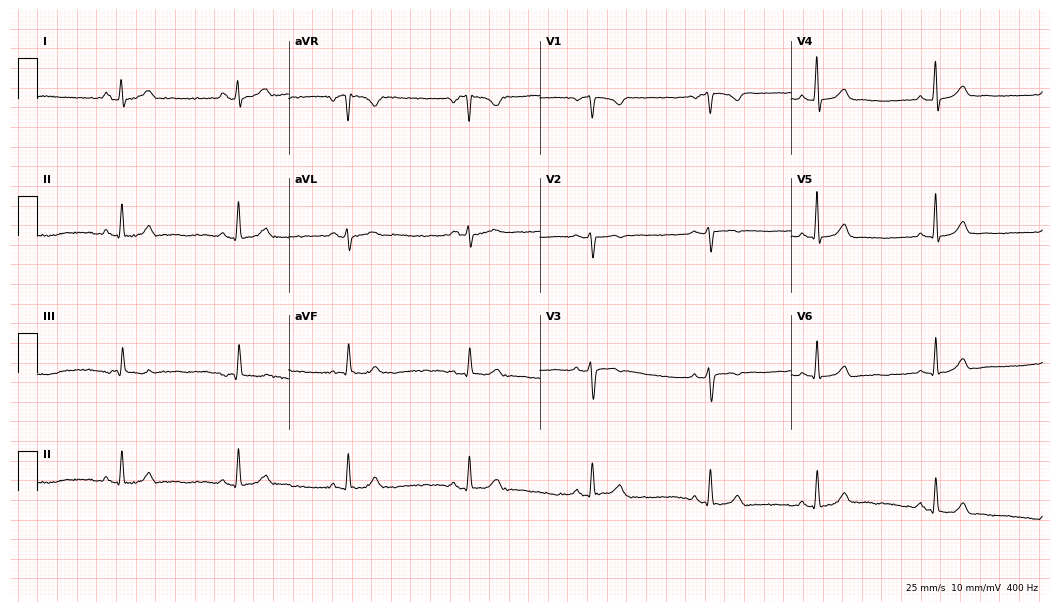
Standard 12-lead ECG recorded from a woman, 39 years old (10.2-second recording at 400 Hz). The tracing shows sinus bradycardia (a sinus rate of 50 beats per minute or less).